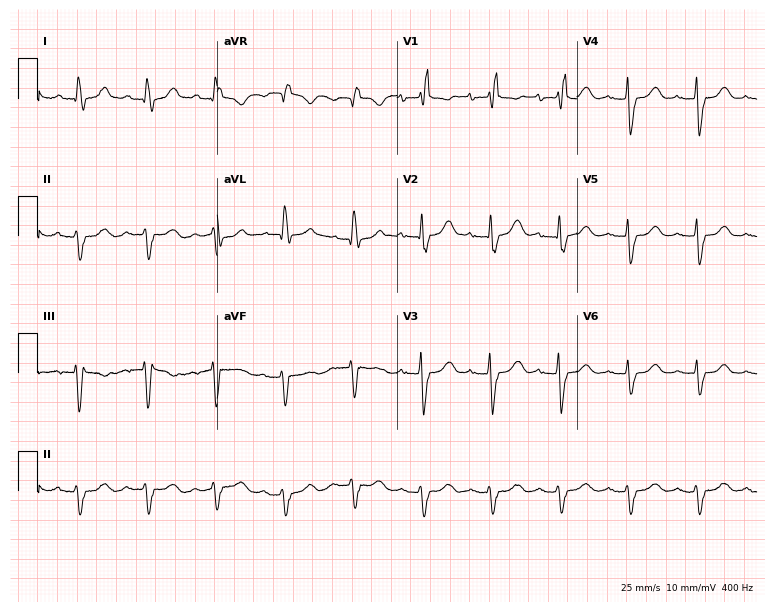
Resting 12-lead electrocardiogram. Patient: a female, 75 years old. The tracing shows first-degree AV block.